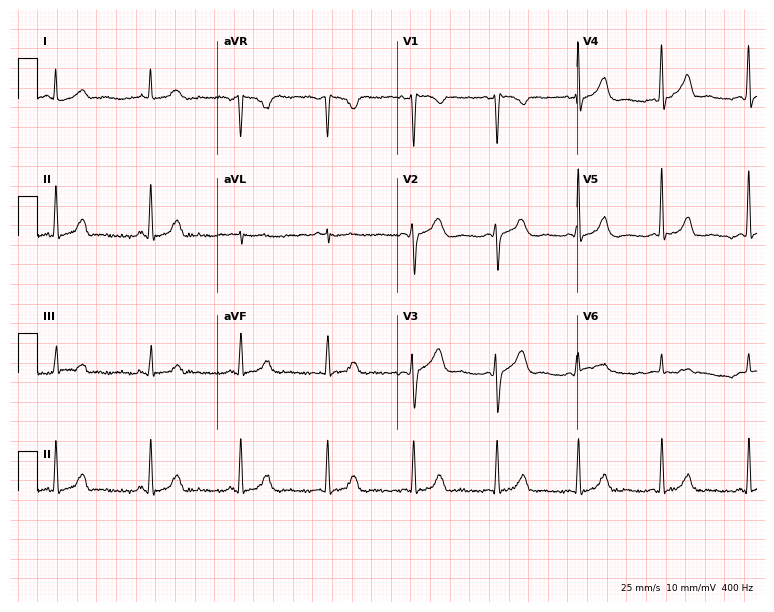
12-lead ECG from a female, 45 years old. Recorded interpretation: within normal limits.